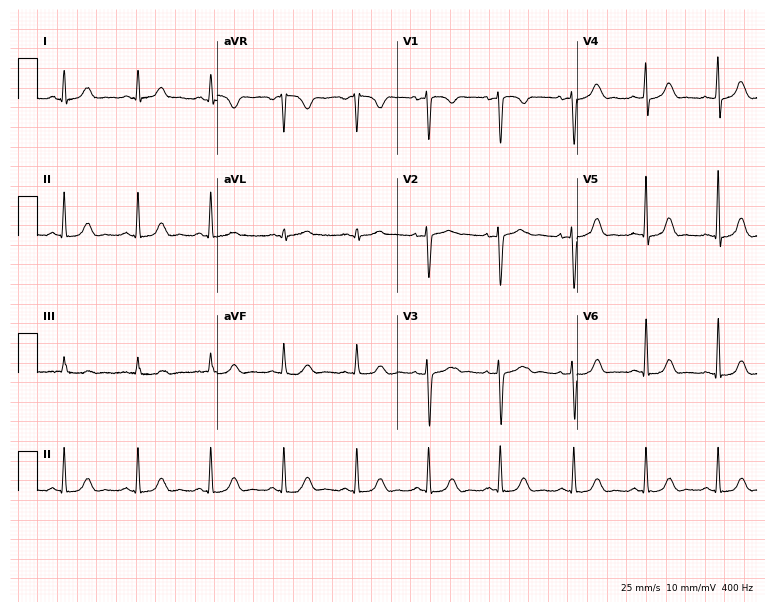
Electrocardiogram (7.3-second recording at 400 Hz), a 19-year-old female patient. Overall reading on record: normal ECG.